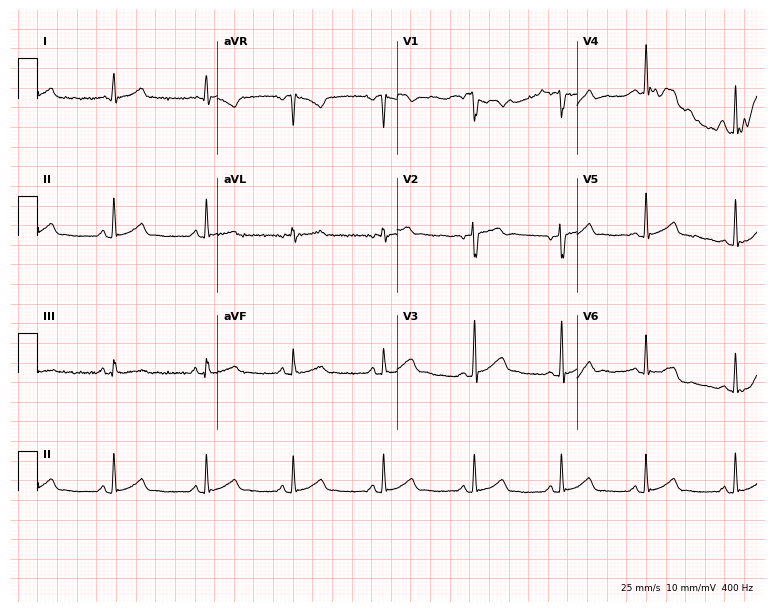
12-lead ECG from a male patient, 20 years old. Recorded interpretation: within normal limits.